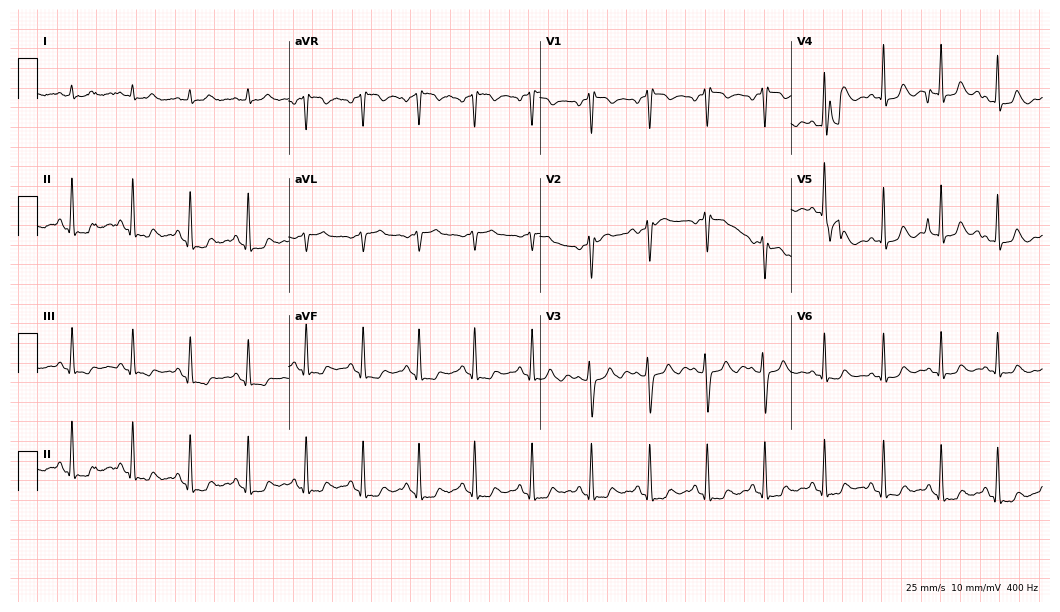
ECG — a woman, 38 years old. Screened for six findings — first-degree AV block, right bundle branch block, left bundle branch block, sinus bradycardia, atrial fibrillation, sinus tachycardia — none is recorded. Only these six findings were labelled.